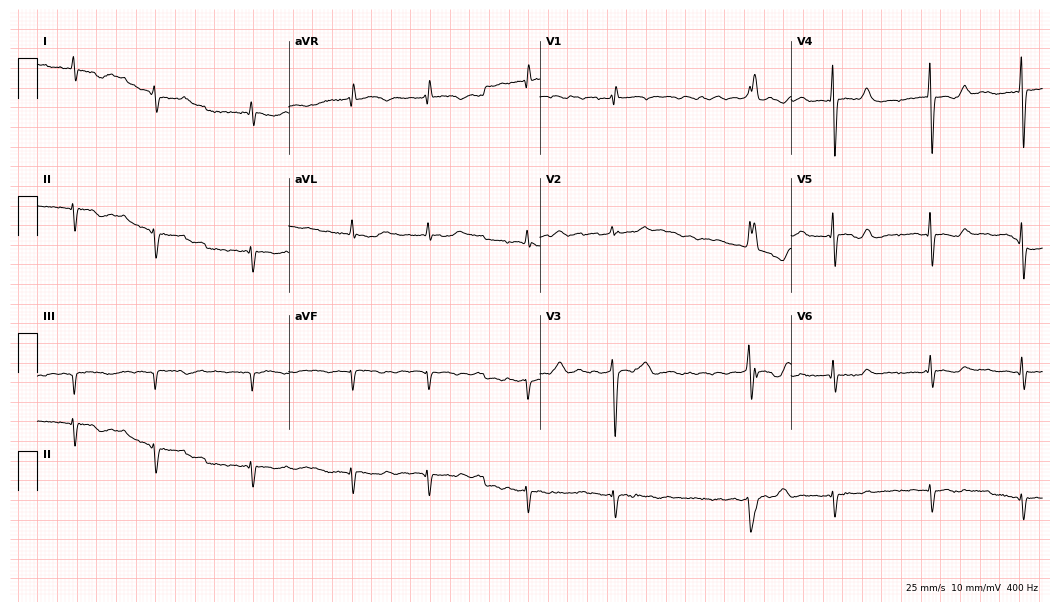
ECG — a male, 73 years old. Screened for six findings — first-degree AV block, right bundle branch block (RBBB), left bundle branch block (LBBB), sinus bradycardia, atrial fibrillation (AF), sinus tachycardia — none is recorded. Other findings, if any, are not listed.